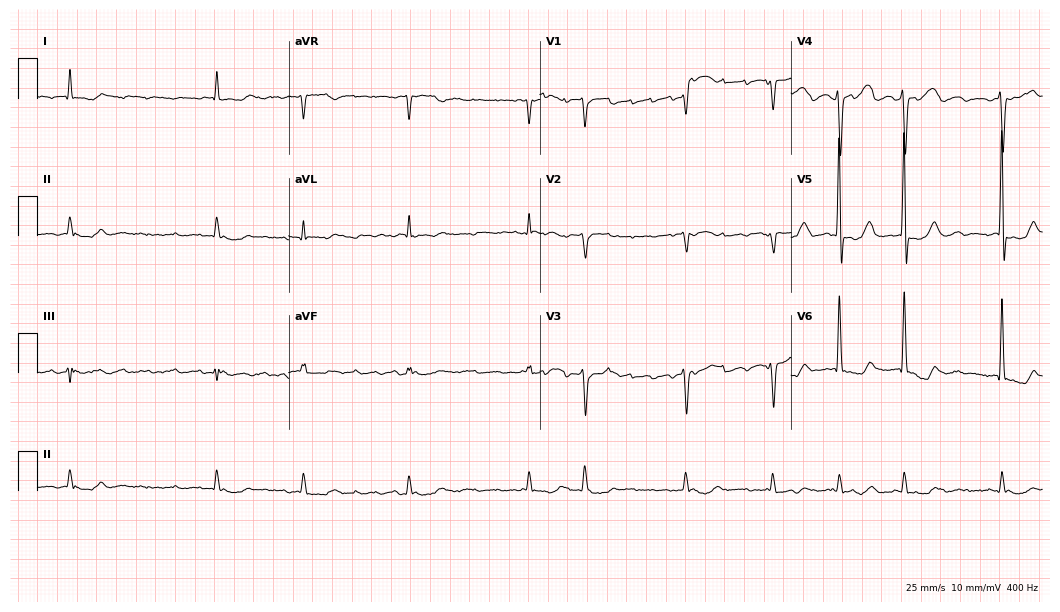
ECG (10.2-second recording at 400 Hz) — a 72-year-old man. Screened for six findings — first-degree AV block, right bundle branch block, left bundle branch block, sinus bradycardia, atrial fibrillation, sinus tachycardia — none is recorded. Other findings, if any, are not listed.